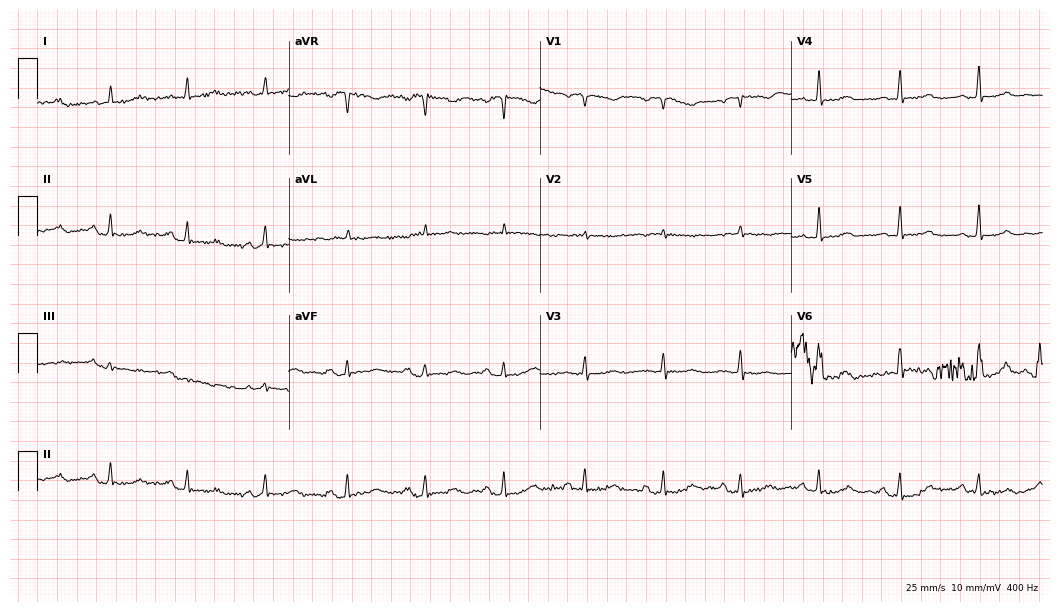
Electrocardiogram (10.2-second recording at 400 Hz), a female patient, 72 years old. Overall reading on record: normal ECG.